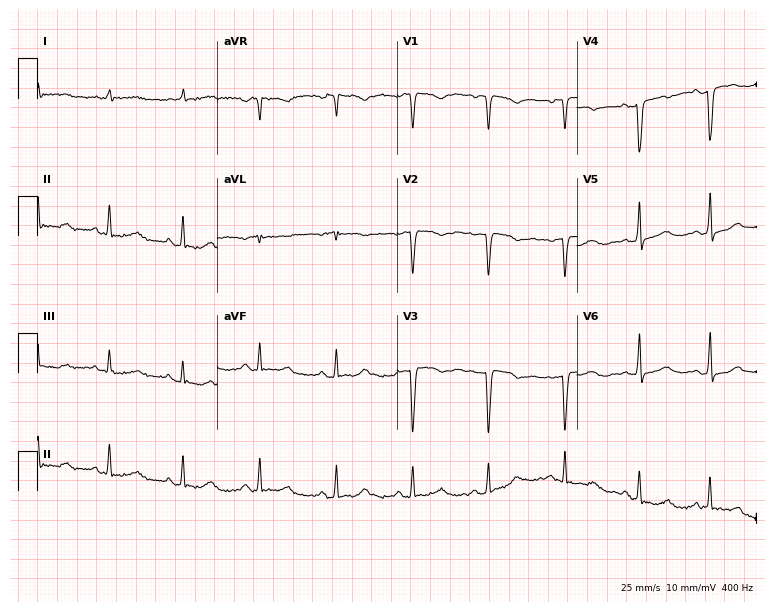
Resting 12-lead electrocardiogram. Patient: a 79-year-old female. None of these six findings is recorded: first-degree AV block, right bundle branch block, left bundle branch block, sinus bradycardia, atrial fibrillation, sinus tachycardia.